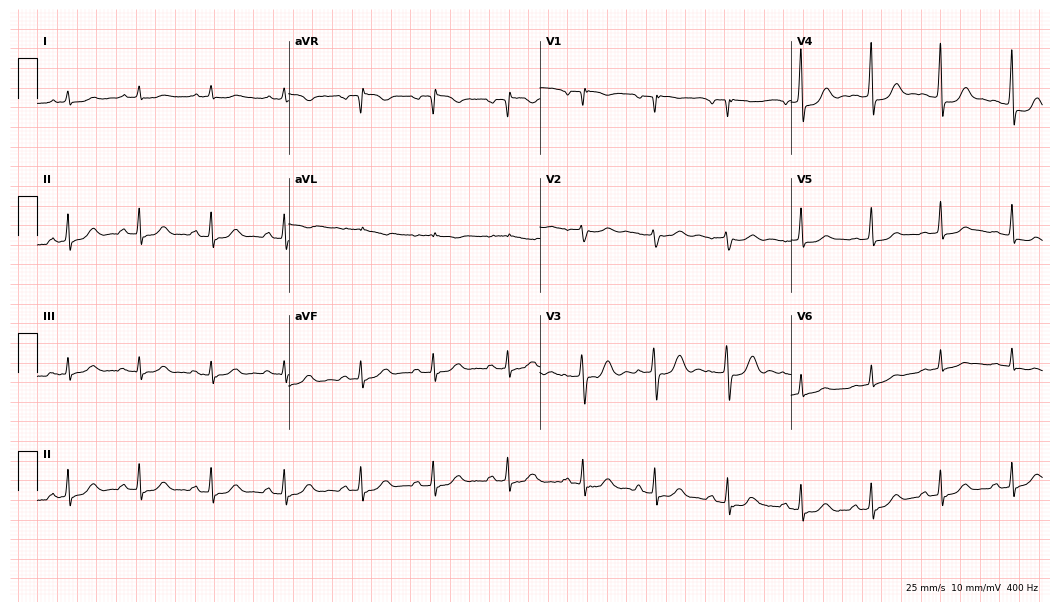
Standard 12-lead ECG recorded from a man, 75 years old (10.2-second recording at 400 Hz). None of these six findings is recorded: first-degree AV block, right bundle branch block, left bundle branch block, sinus bradycardia, atrial fibrillation, sinus tachycardia.